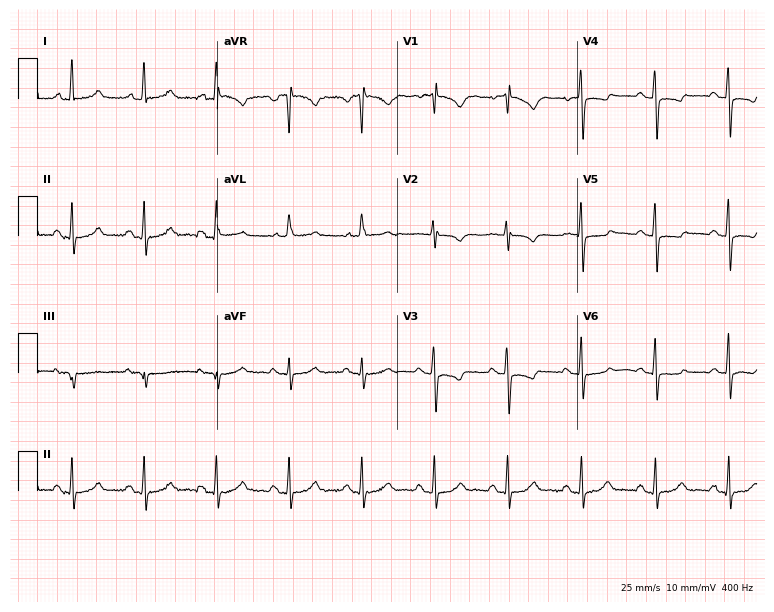
Standard 12-lead ECG recorded from a female patient, 70 years old (7.3-second recording at 400 Hz). None of these six findings is recorded: first-degree AV block, right bundle branch block, left bundle branch block, sinus bradycardia, atrial fibrillation, sinus tachycardia.